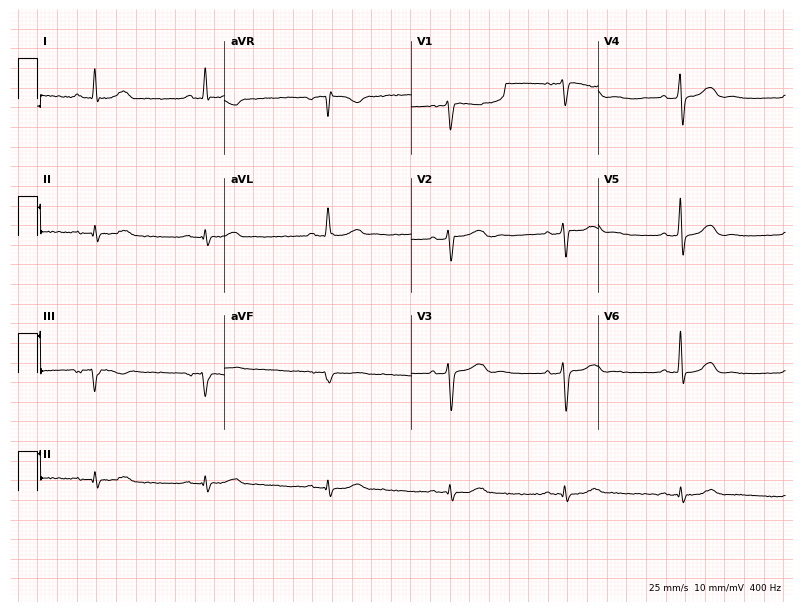
12-lead ECG (7.6-second recording at 400 Hz) from a male patient, 75 years old. Screened for six findings — first-degree AV block, right bundle branch block, left bundle branch block, sinus bradycardia, atrial fibrillation, sinus tachycardia — none is recorded.